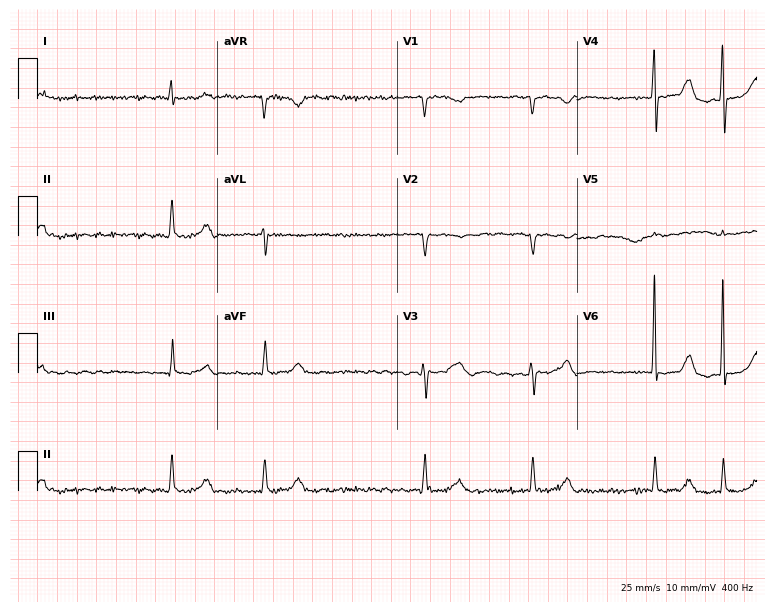
Electrocardiogram, a 61-year-old female patient. Interpretation includes atrial fibrillation.